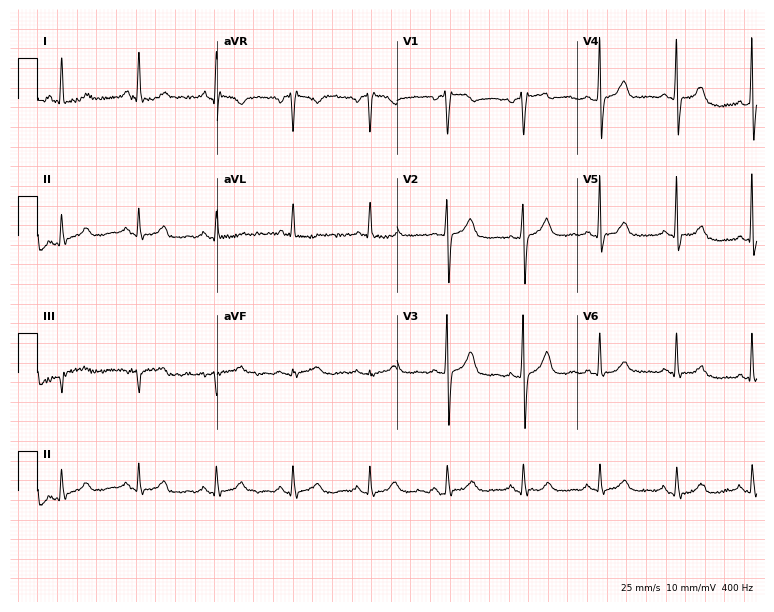
Resting 12-lead electrocardiogram (7.3-second recording at 400 Hz). Patient: a 69-year-old man. None of these six findings is recorded: first-degree AV block, right bundle branch block, left bundle branch block, sinus bradycardia, atrial fibrillation, sinus tachycardia.